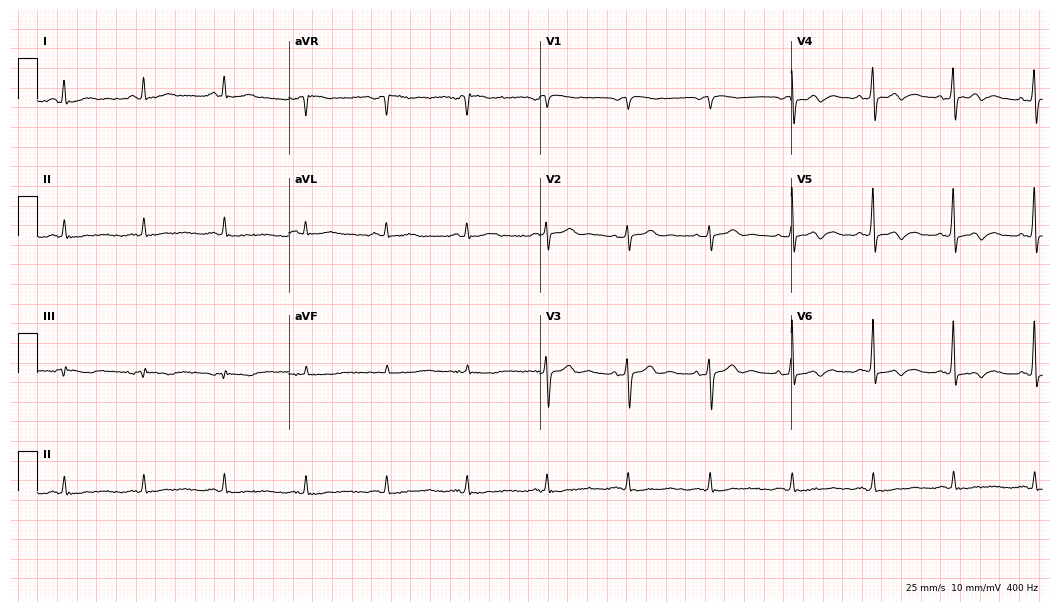
12-lead ECG from a 74-year-old male patient. Screened for six findings — first-degree AV block, right bundle branch block, left bundle branch block, sinus bradycardia, atrial fibrillation, sinus tachycardia — none is recorded.